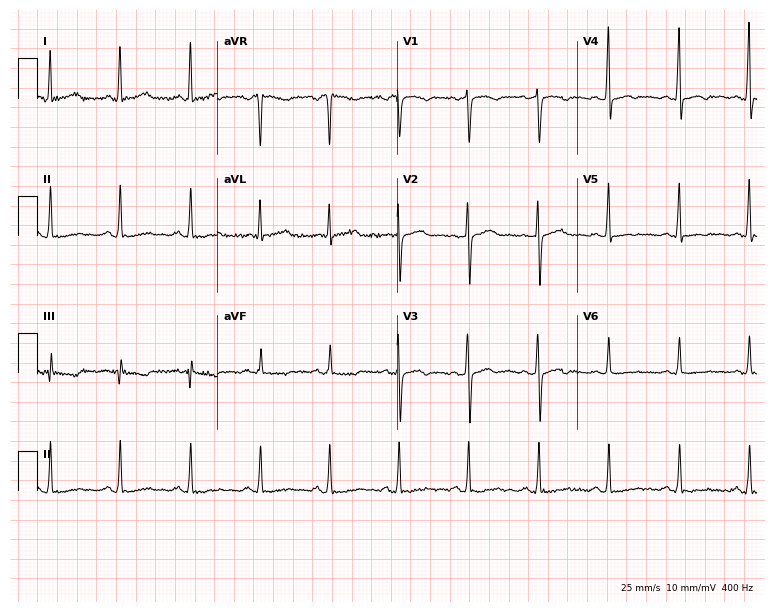
ECG (7.3-second recording at 400 Hz) — a female patient, 52 years old. Labelled as a normal ECG.